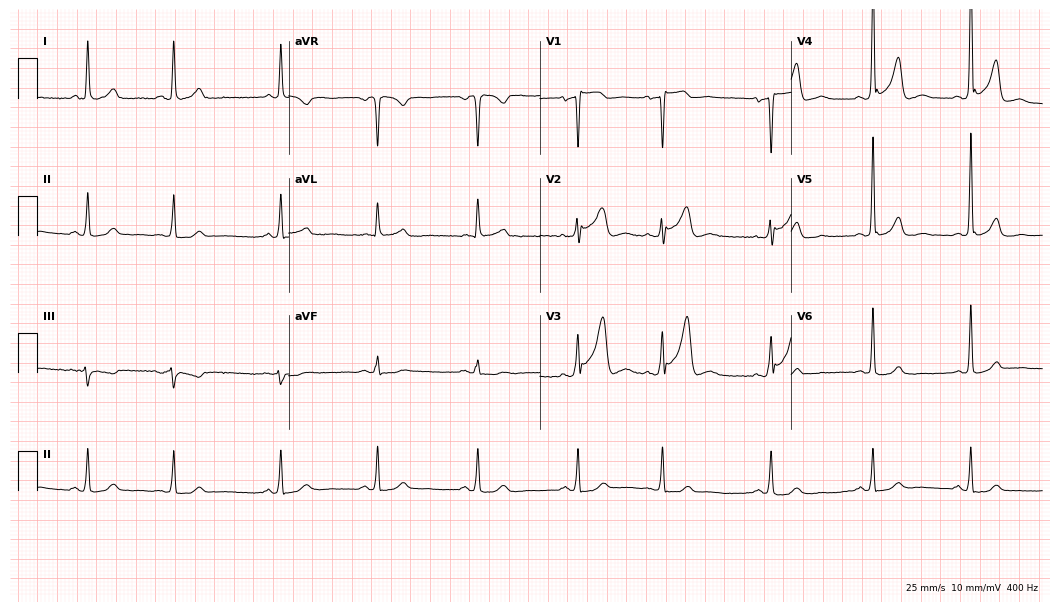
12-lead ECG from a 68-year-old male patient. No first-degree AV block, right bundle branch block (RBBB), left bundle branch block (LBBB), sinus bradycardia, atrial fibrillation (AF) or sinus tachycardia recorded for this tracing.